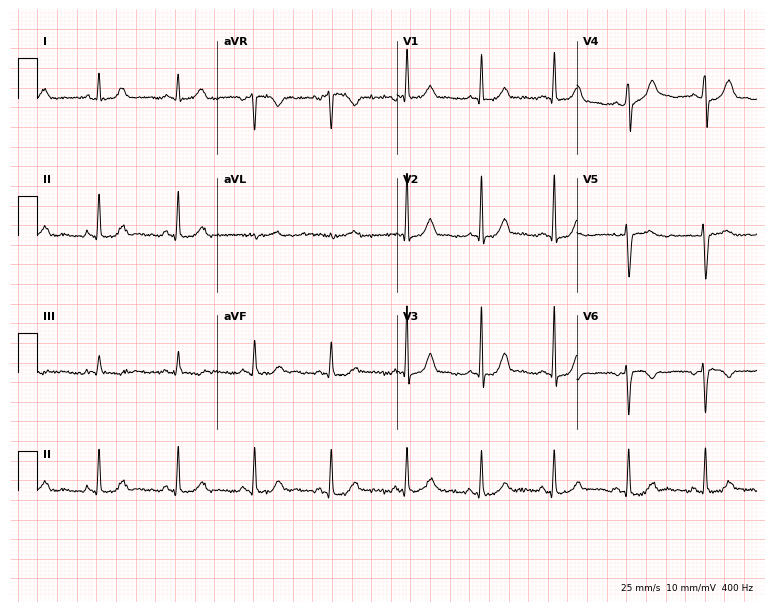
Standard 12-lead ECG recorded from a 37-year-old female (7.3-second recording at 400 Hz). None of these six findings is recorded: first-degree AV block, right bundle branch block (RBBB), left bundle branch block (LBBB), sinus bradycardia, atrial fibrillation (AF), sinus tachycardia. Other findings, if any, are not listed.